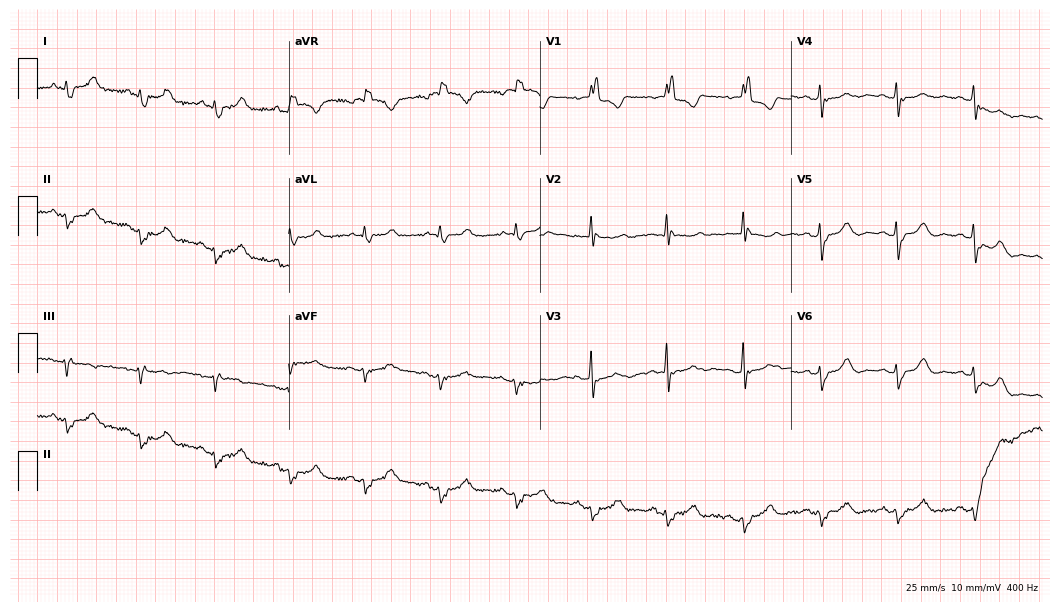
12-lead ECG from a 75-year-old female. Findings include right bundle branch block.